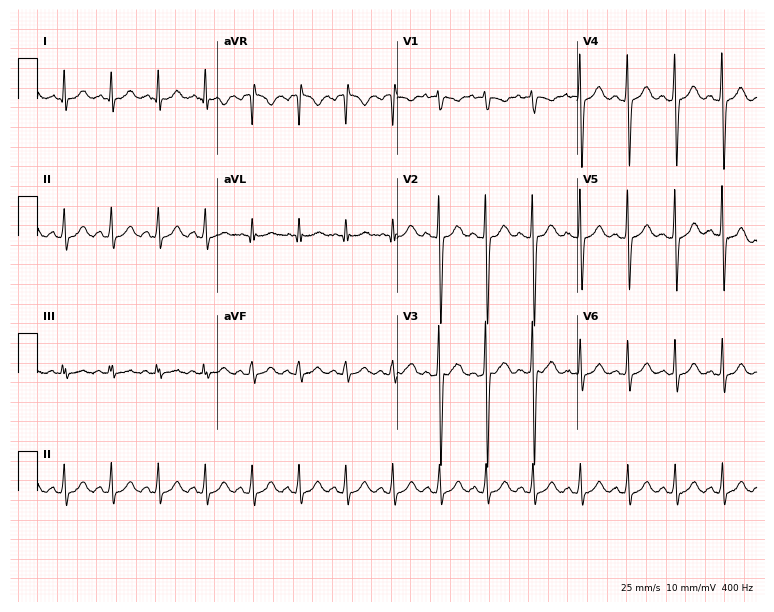
12-lead ECG (7.3-second recording at 400 Hz) from a 26-year-old female. Findings include sinus tachycardia (a sinus rate of 100 beats per minute or more).